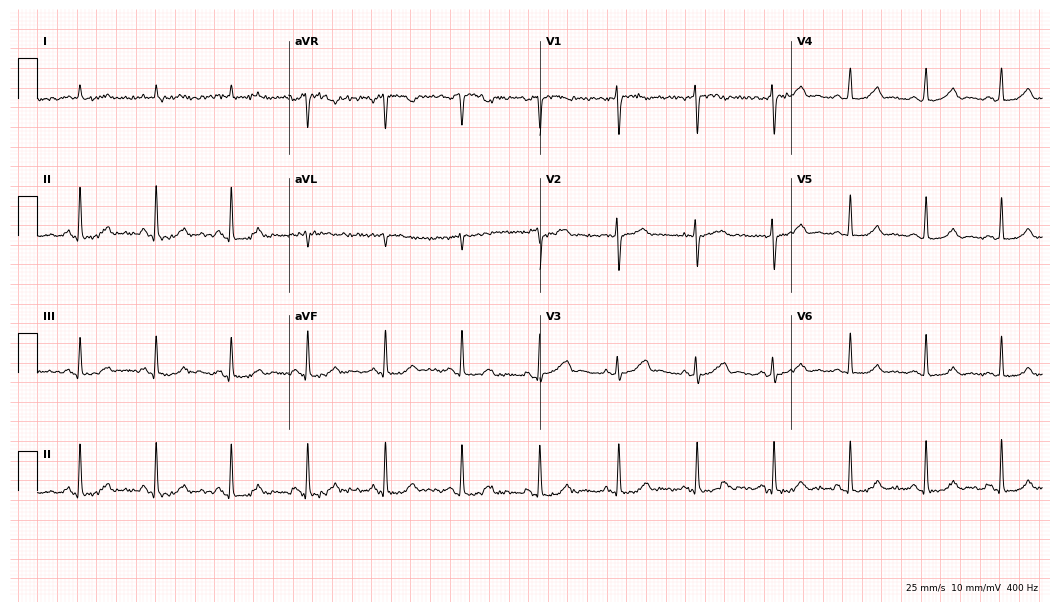
12-lead ECG (10.2-second recording at 400 Hz) from a female, 36 years old. Labelled as a normal ECG.